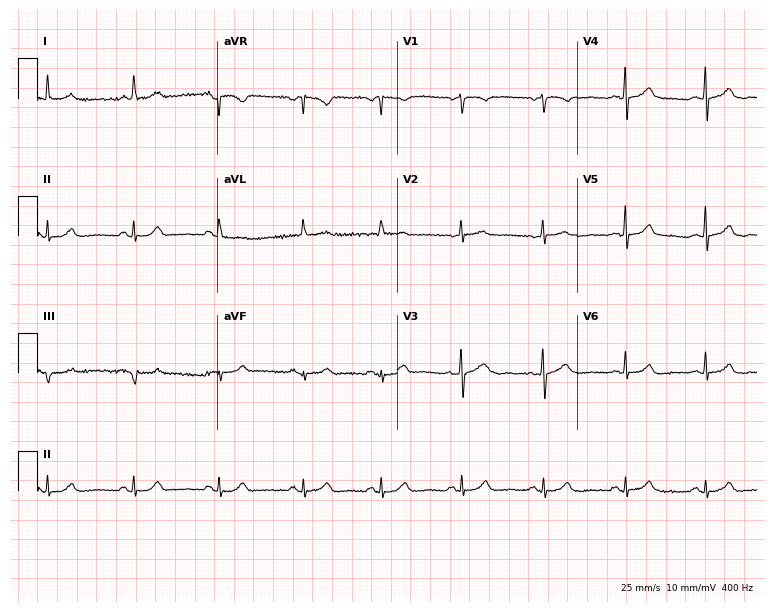
Resting 12-lead electrocardiogram (7.3-second recording at 400 Hz). Patient: a 62-year-old woman. None of these six findings is recorded: first-degree AV block, right bundle branch block, left bundle branch block, sinus bradycardia, atrial fibrillation, sinus tachycardia.